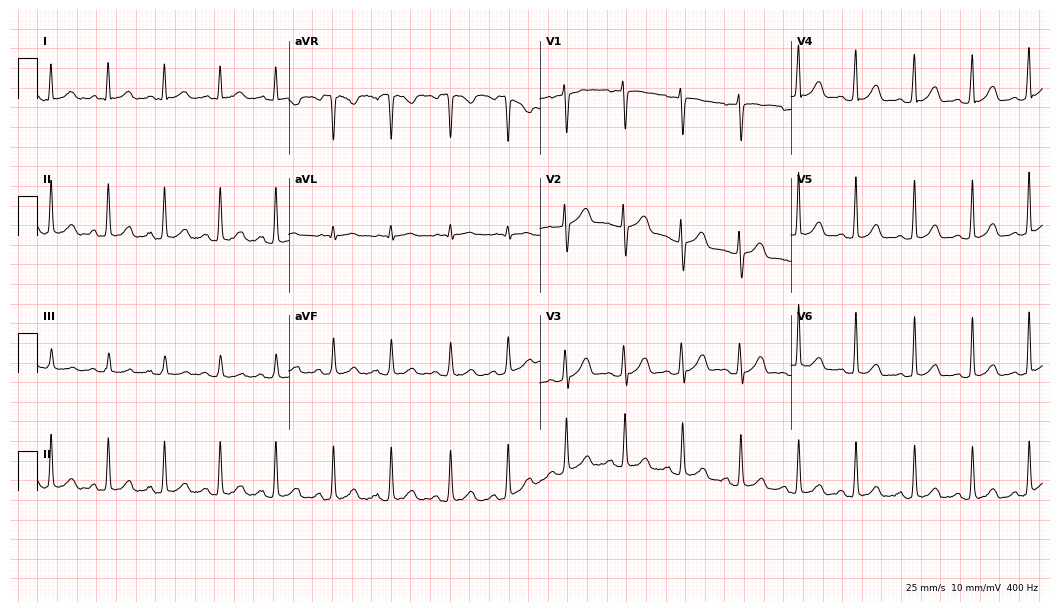
12-lead ECG (10.2-second recording at 400 Hz) from a woman, 28 years old. Findings include sinus tachycardia (a sinus rate of 100 beats per minute or more).